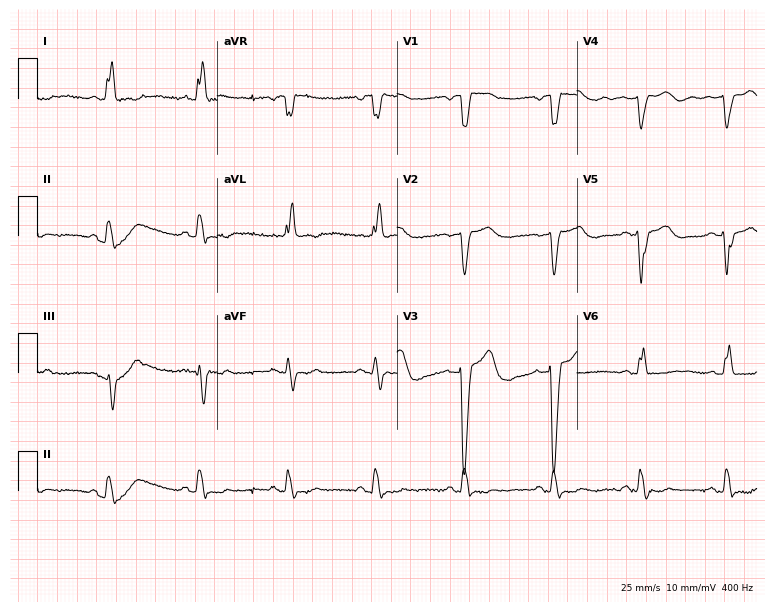
12-lead ECG (7.3-second recording at 400 Hz) from a female patient, 63 years old. Screened for six findings — first-degree AV block, right bundle branch block, left bundle branch block, sinus bradycardia, atrial fibrillation, sinus tachycardia — none is recorded.